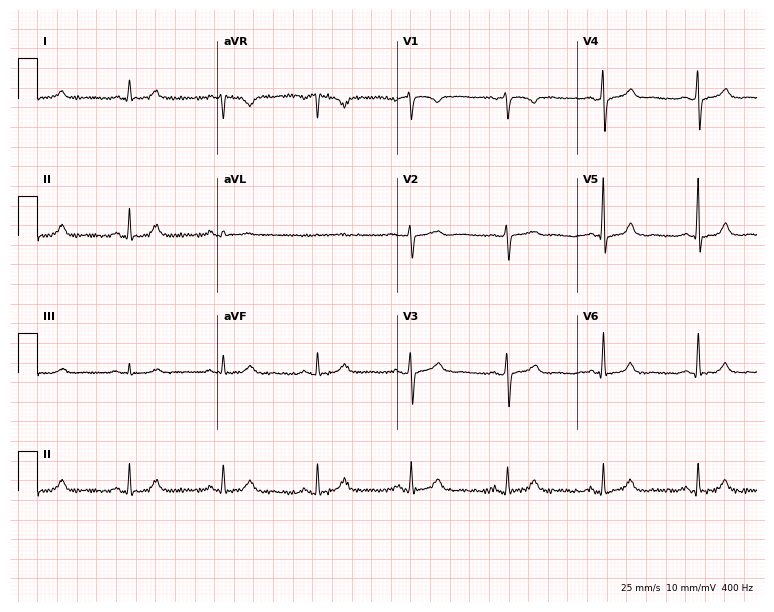
12-lead ECG (7.3-second recording at 400 Hz) from a 63-year-old woman. Labelled as a normal ECG.